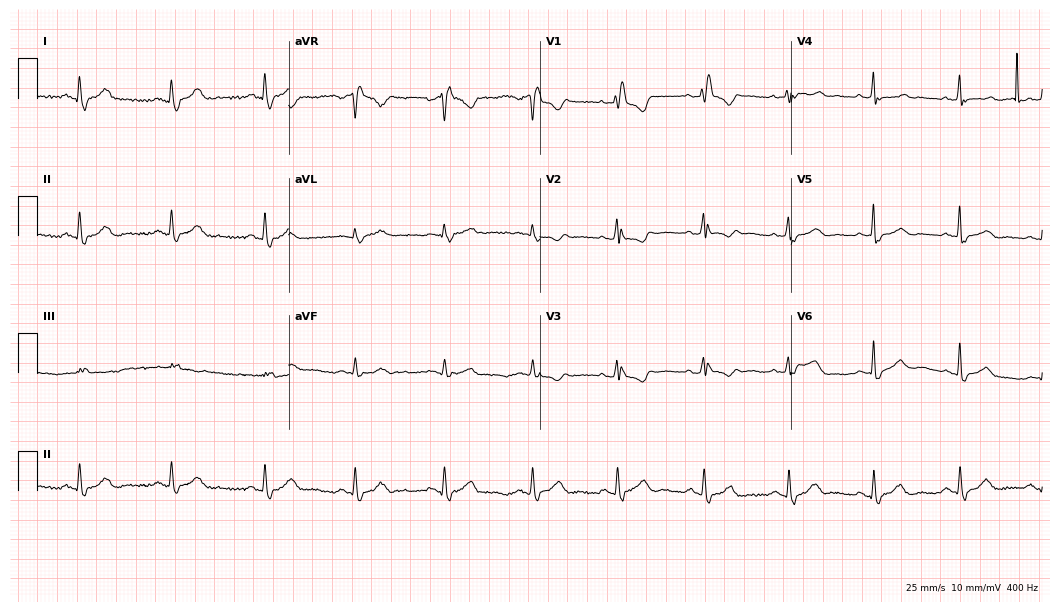
12-lead ECG (10.2-second recording at 400 Hz) from a female, 48 years old. Screened for six findings — first-degree AV block, right bundle branch block, left bundle branch block, sinus bradycardia, atrial fibrillation, sinus tachycardia — none is recorded. Findings outside these six are not listed.